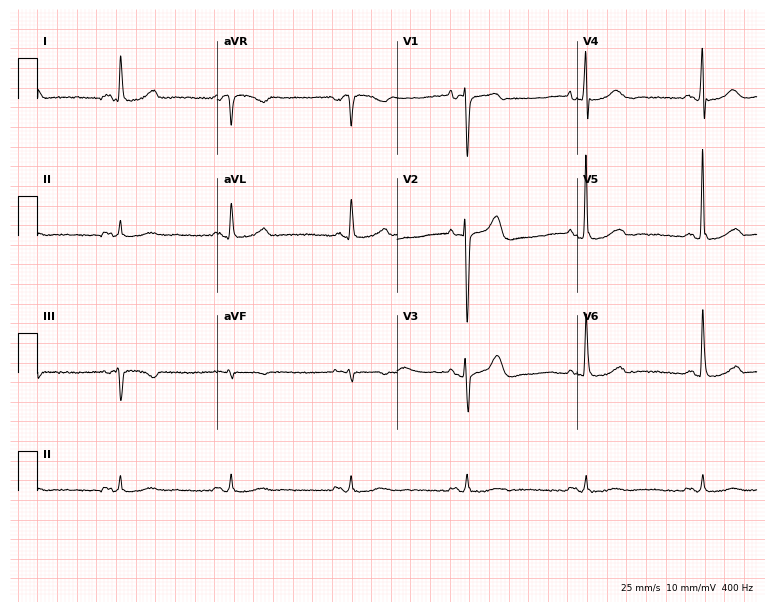
12-lead ECG from a 55-year-old male. Recorded interpretation: within normal limits.